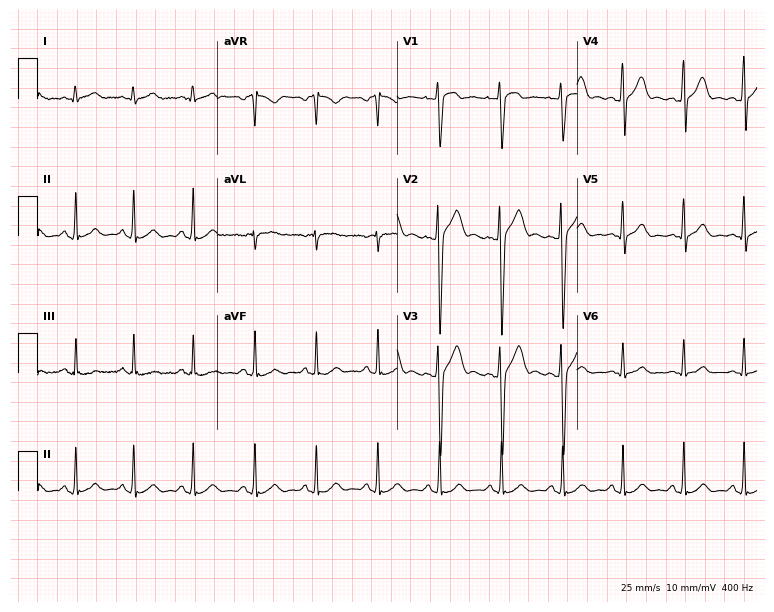
Electrocardiogram, a 28-year-old male. Of the six screened findings (first-degree AV block, right bundle branch block (RBBB), left bundle branch block (LBBB), sinus bradycardia, atrial fibrillation (AF), sinus tachycardia), none is recorded.